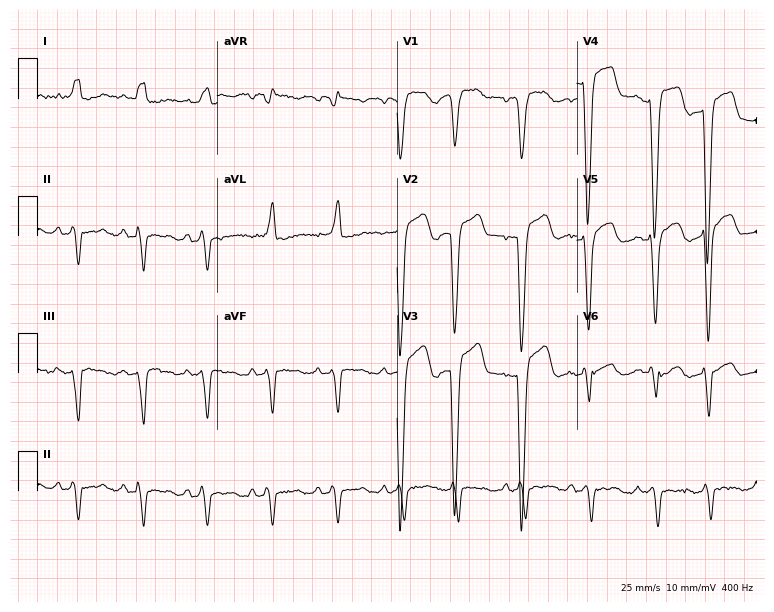
Resting 12-lead electrocardiogram. Patient: an 80-year-old female. None of these six findings is recorded: first-degree AV block, right bundle branch block, left bundle branch block, sinus bradycardia, atrial fibrillation, sinus tachycardia. Other findings, if any, are not listed.